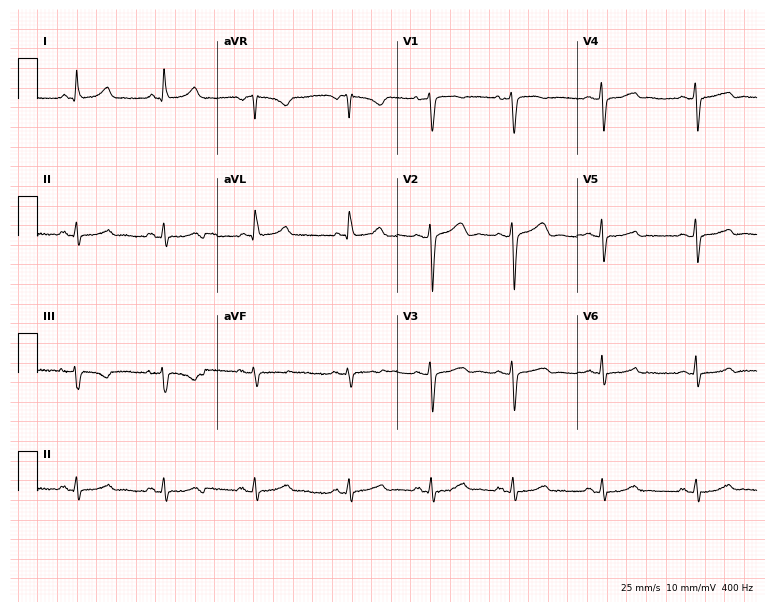
Standard 12-lead ECG recorded from a 52-year-old female patient. Read as a normal ECG.